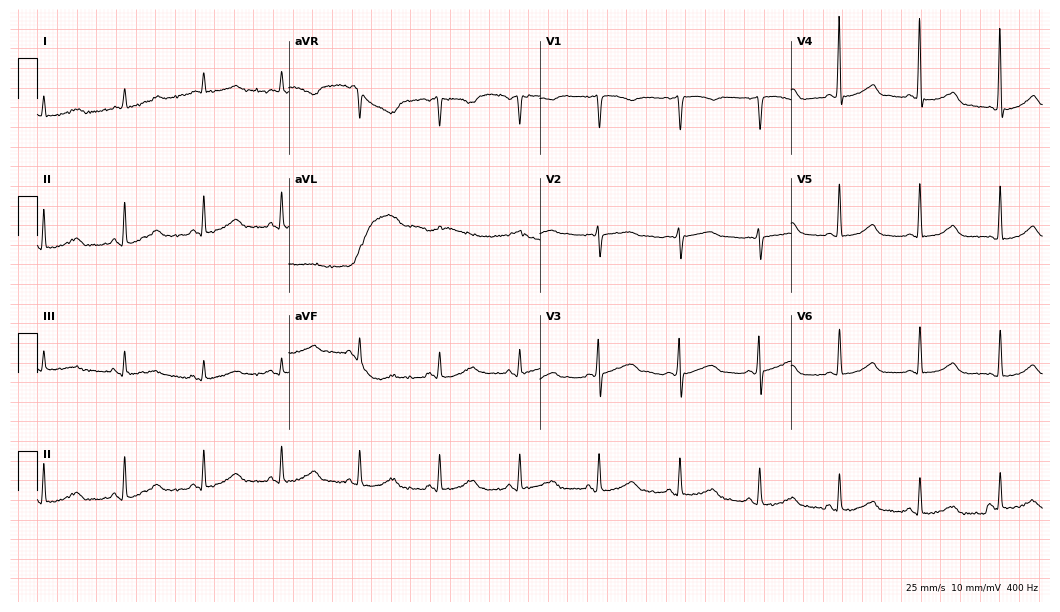
12-lead ECG from a female patient, 75 years old. Labelled as a normal ECG.